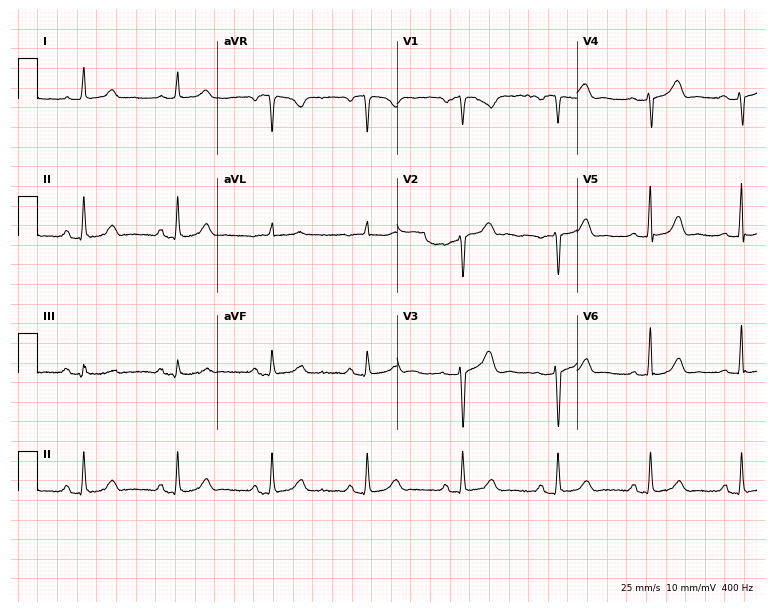
ECG (7.3-second recording at 400 Hz) — a 64-year-old female patient. Labelled as a normal ECG.